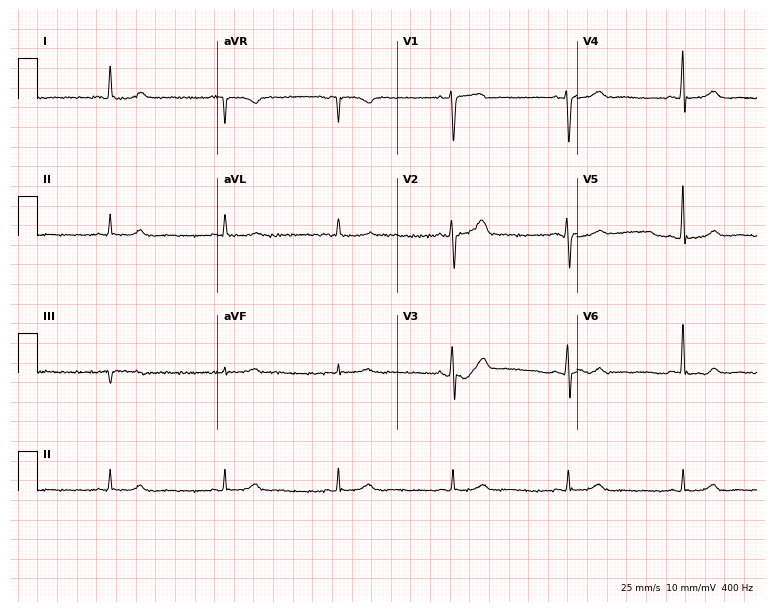
ECG (7.3-second recording at 400 Hz) — a man, 62 years old. Screened for six findings — first-degree AV block, right bundle branch block (RBBB), left bundle branch block (LBBB), sinus bradycardia, atrial fibrillation (AF), sinus tachycardia — none is recorded.